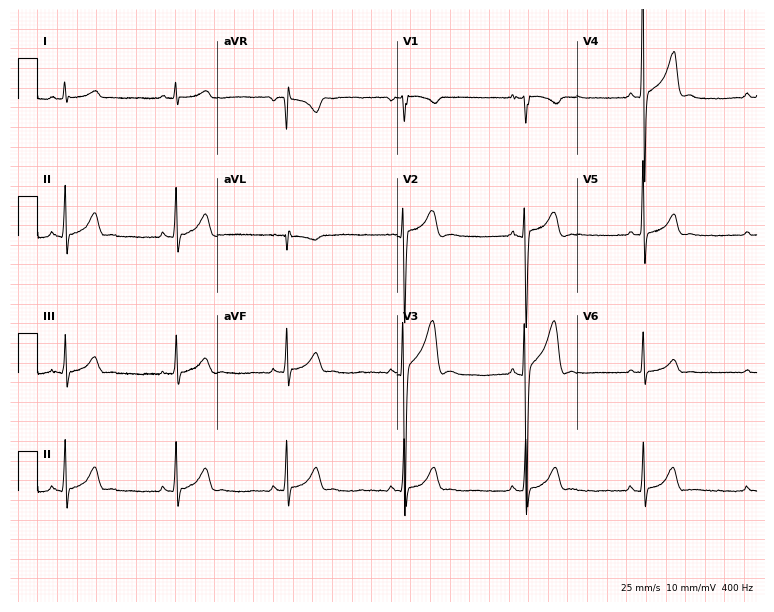
12-lead ECG from a man, 17 years old. Shows sinus bradycardia (a sinus rate of 50 beats per minute or less).